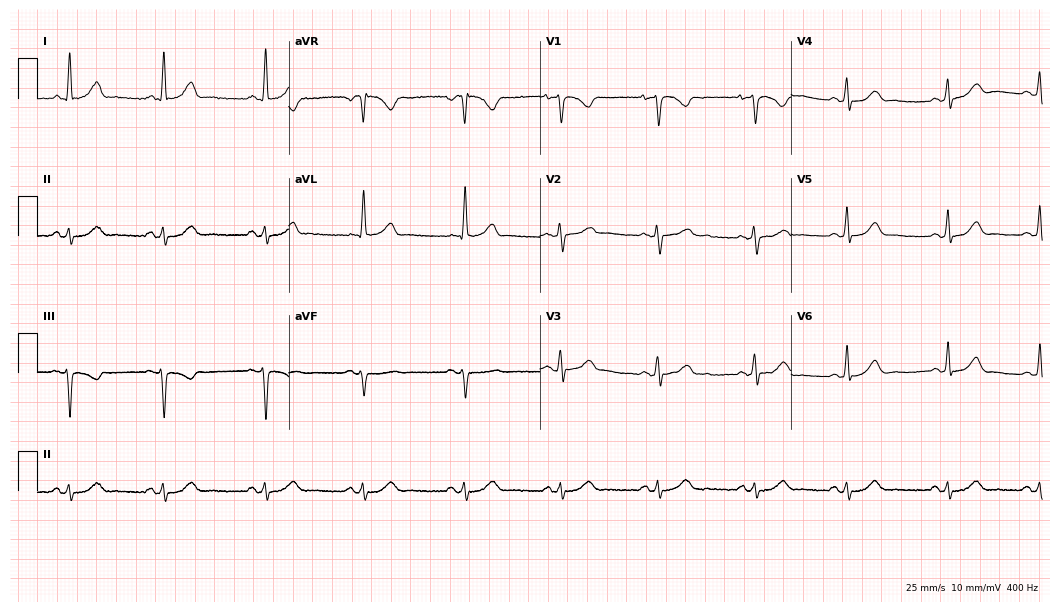
12-lead ECG from a 34-year-old female patient. Recorded interpretation: within normal limits.